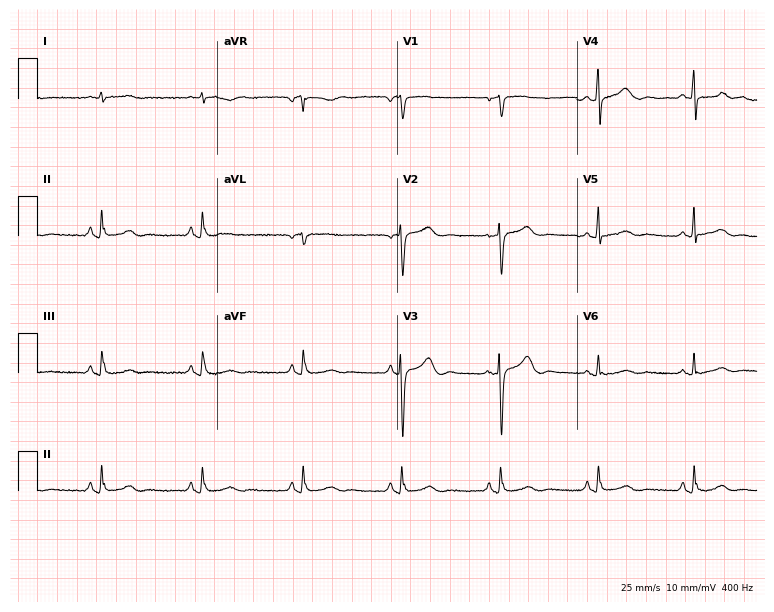
ECG — a man, 82 years old. Screened for six findings — first-degree AV block, right bundle branch block (RBBB), left bundle branch block (LBBB), sinus bradycardia, atrial fibrillation (AF), sinus tachycardia — none is recorded. Findings outside these six are not listed.